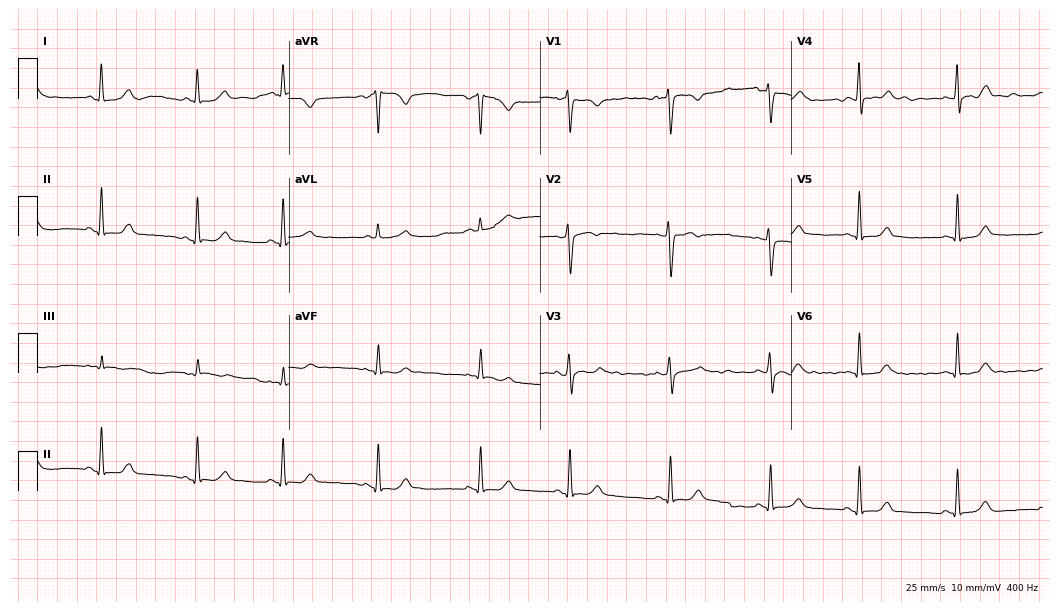
12-lead ECG from a 22-year-old female patient. Screened for six findings — first-degree AV block, right bundle branch block, left bundle branch block, sinus bradycardia, atrial fibrillation, sinus tachycardia — none is recorded.